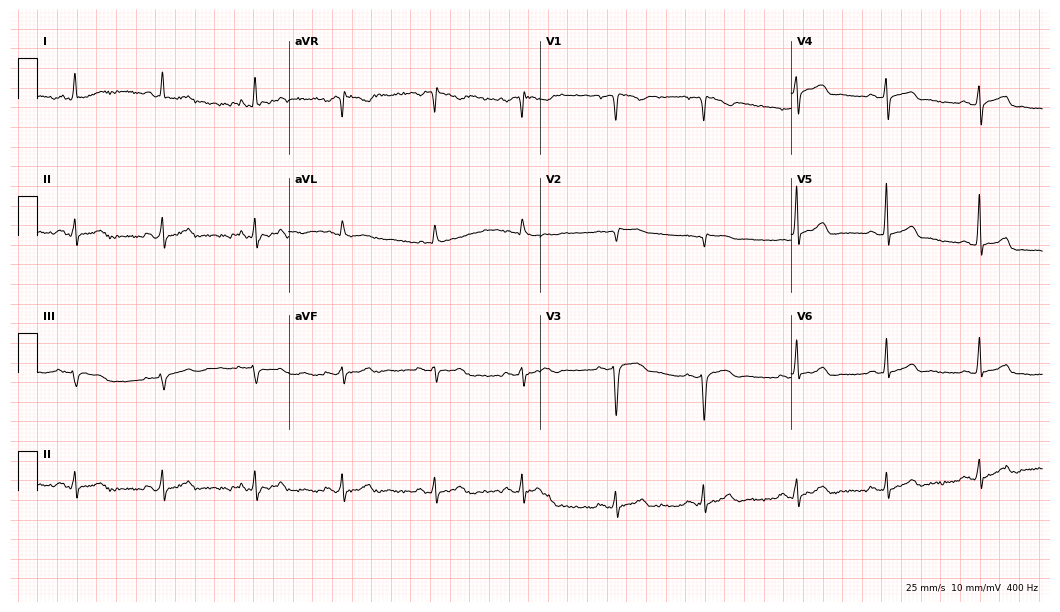
Standard 12-lead ECG recorded from a woman, 30 years old (10.2-second recording at 400 Hz). None of these six findings is recorded: first-degree AV block, right bundle branch block (RBBB), left bundle branch block (LBBB), sinus bradycardia, atrial fibrillation (AF), sinus tachycardia. Only these six findings were labelled.